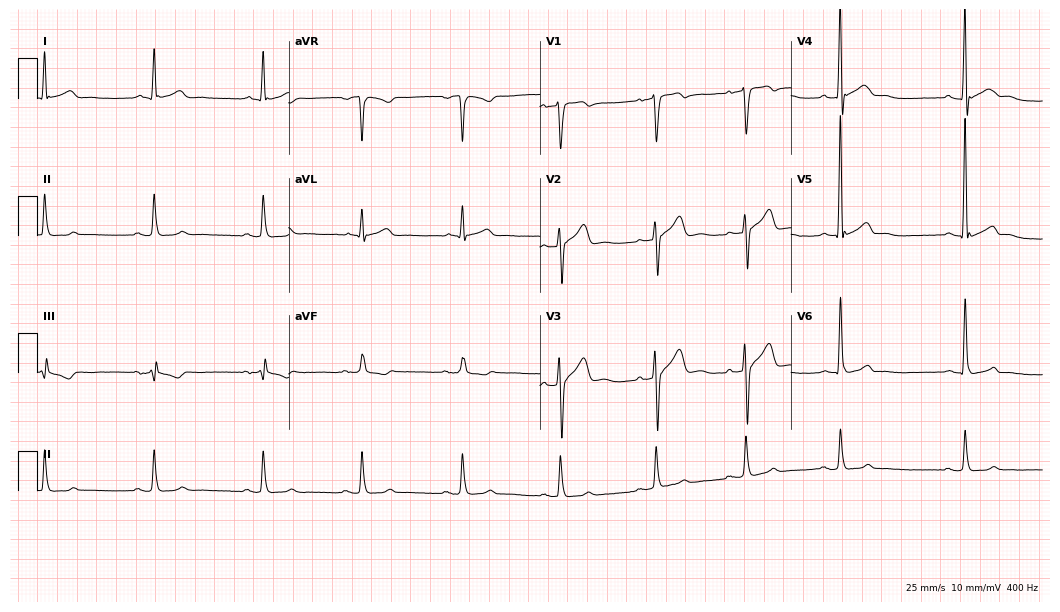
Standard 12-lead ECG recorded from a male, 37 years old (10.2-second recording at 400 Hz). None of these six findings is recorded: first-degree AV block, right bundle branch block (RBBB), left bundle branch block (LBBB), sinus bradycardia, atrial fibrillation (AF), sinus tachycardia.